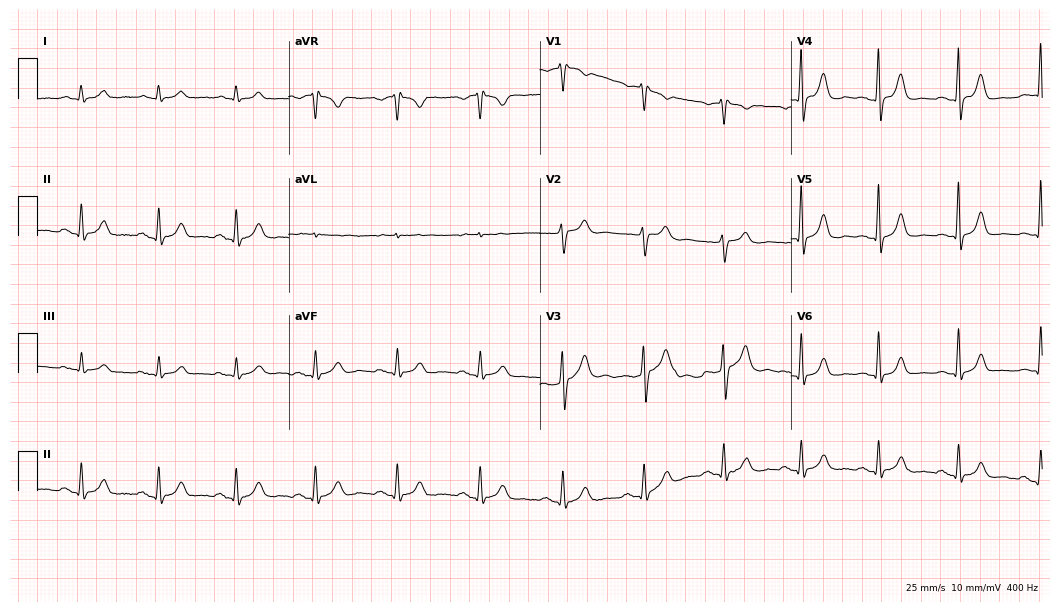
12-lead ECG from a man, 59 years old. Recorded interpretation: within normal limits.